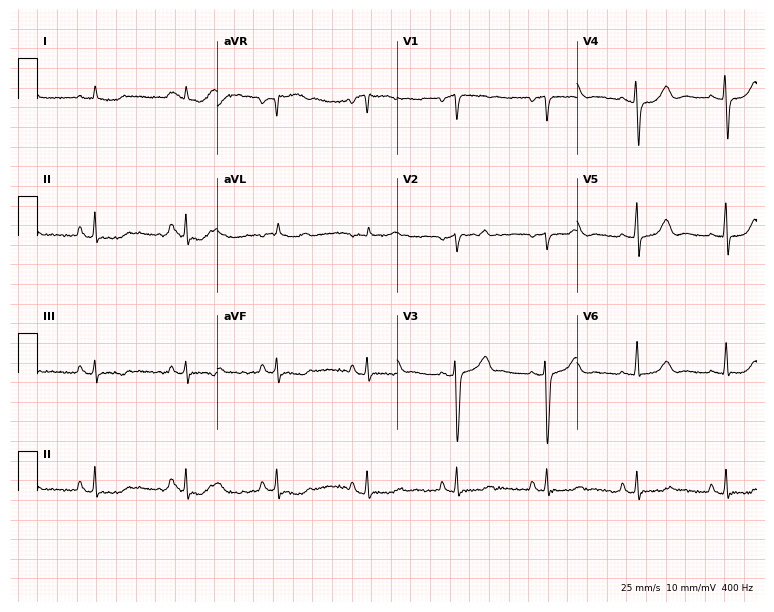
12-lead ECG from a 71-year-old man. No first-degree AV block, right bundle branch block, left bundle branch block, sinus bradycardia, atrial fibrillation or sinus tachycardia recorded for this tracing.